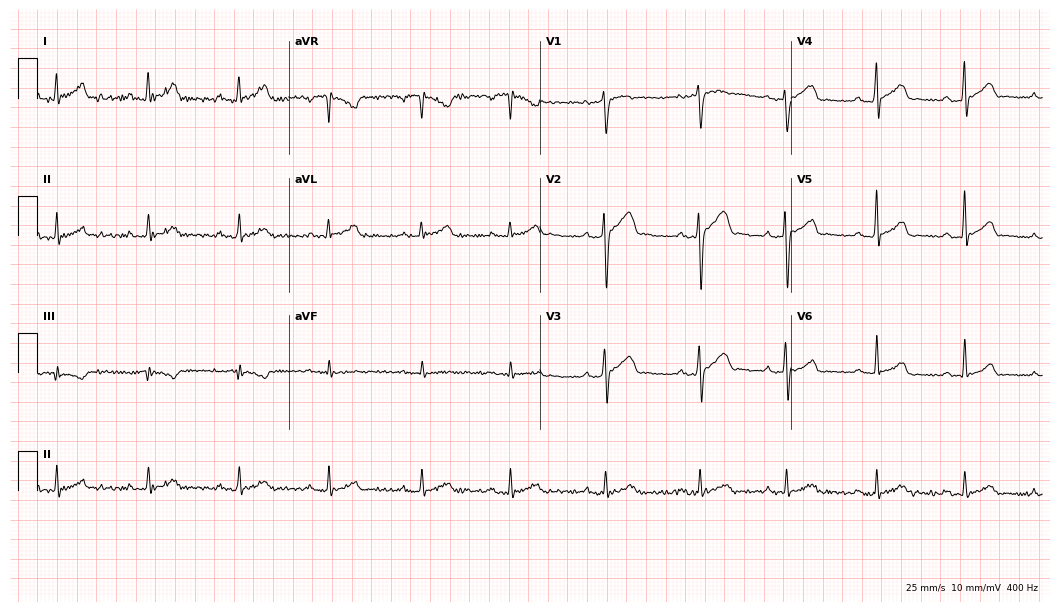
Resting 12-lead electrocardiogram. Patient: a 31-year-old male. Read as a normal ECG.